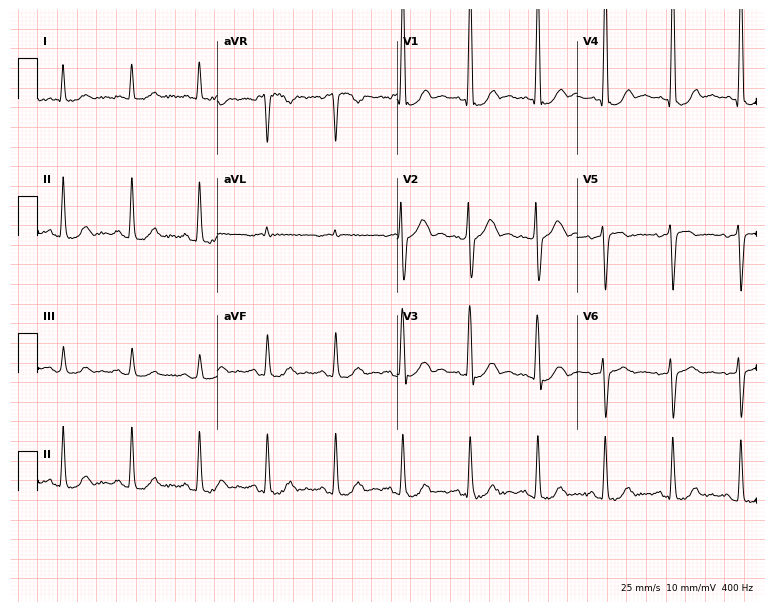
Standard 12-lead ECG recorded from a 77-year-old male patient (7.3-second recording at 400 Hz). None of these six findings is recorded: first-degree AV block, right bundle branch block, left bundle branch block, sinus bradycardia, atrial fibrillation, sinus tachycardia. Findings outside these six are not listed.